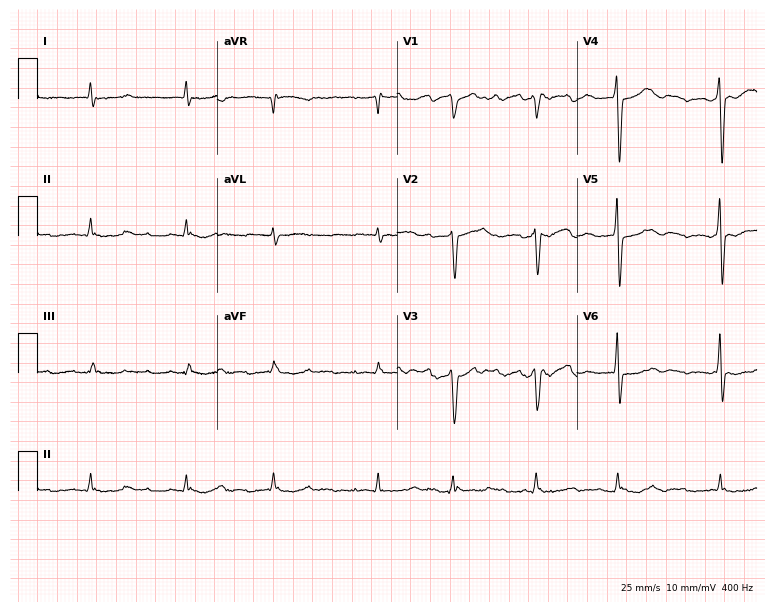
Standard 12-lead ECG recorded from an 80-year-old male. The tracing shows atrial fibrillation.